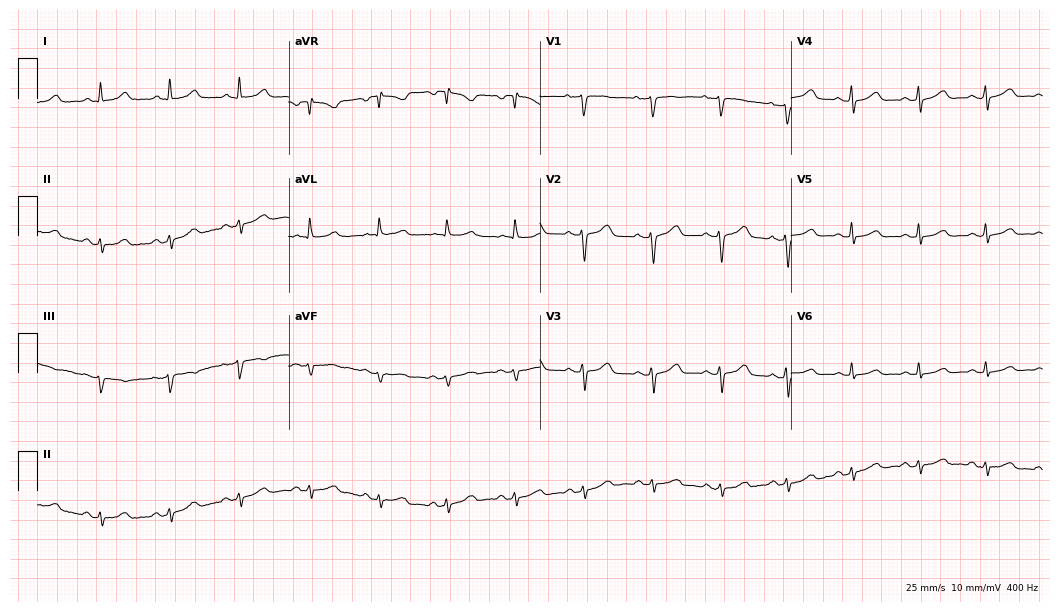
Resting 12-lead electrocardiogram. Patient: a 69-year-old female. None of these six findings is recorded: first-degree AV block, right bundle branch block (RBBB), left bundle branch block (LBBB), sinus bradycardia, atrial fibrillation (AF), sinus tachycardia. Findings outside these six are not listed.